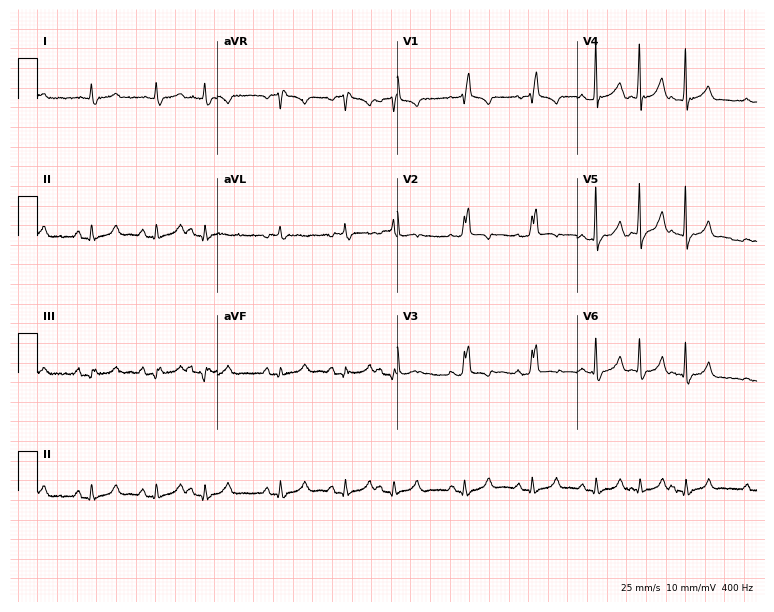
Electrocardiogram, a 64-year-old male patient. Of the six screened findings (first-degree AV block, right bundle branch block, left bundle branch block, sinus bradycardia, atrial fibrillation, sinus tachycardia), none is recorded.